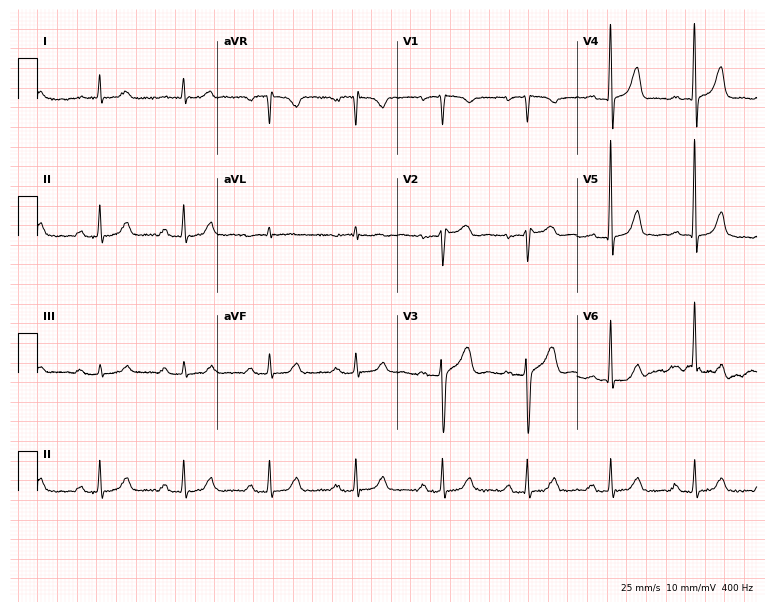
Resting 12-lead electrocardiogram. Patient: a male, 79 years old. None of these six findings is recorded: first-degree AV block, right bundle branch block (RBBB), left bundle branch block (LBBB), sinus bradycardia, atrial fibrillation (AF), sinus tachycardia. Findings outside these six are not listed.